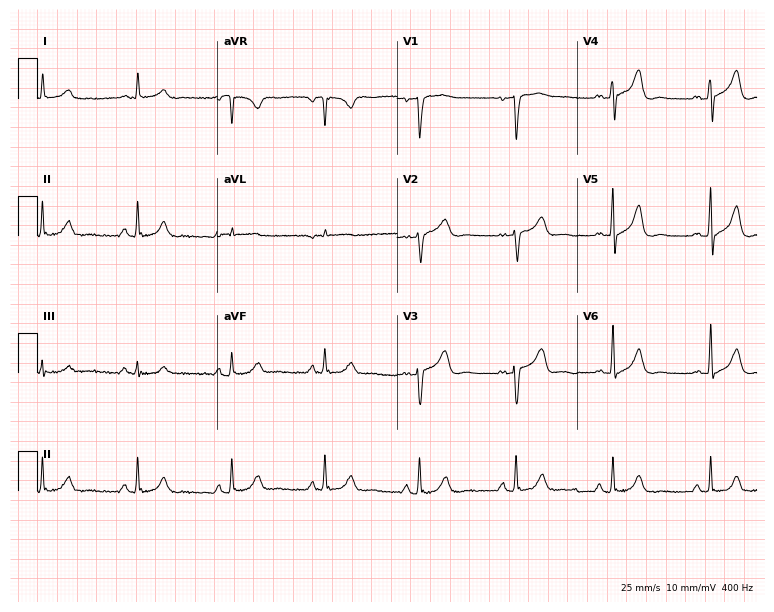
12-lead ECG from a male patient, 51 years old. Recorded interpretation: within normal limits.